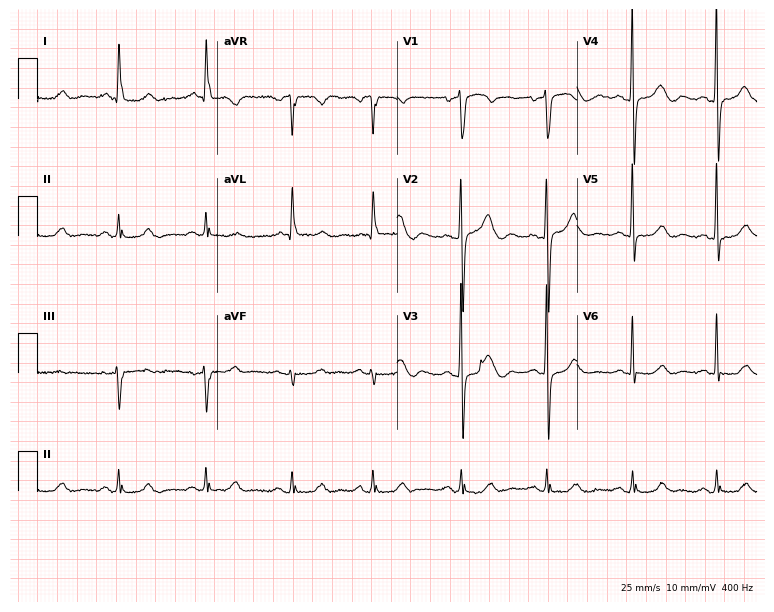
ECG — a 77-year-old male patient. Labelled as a normal ECG.